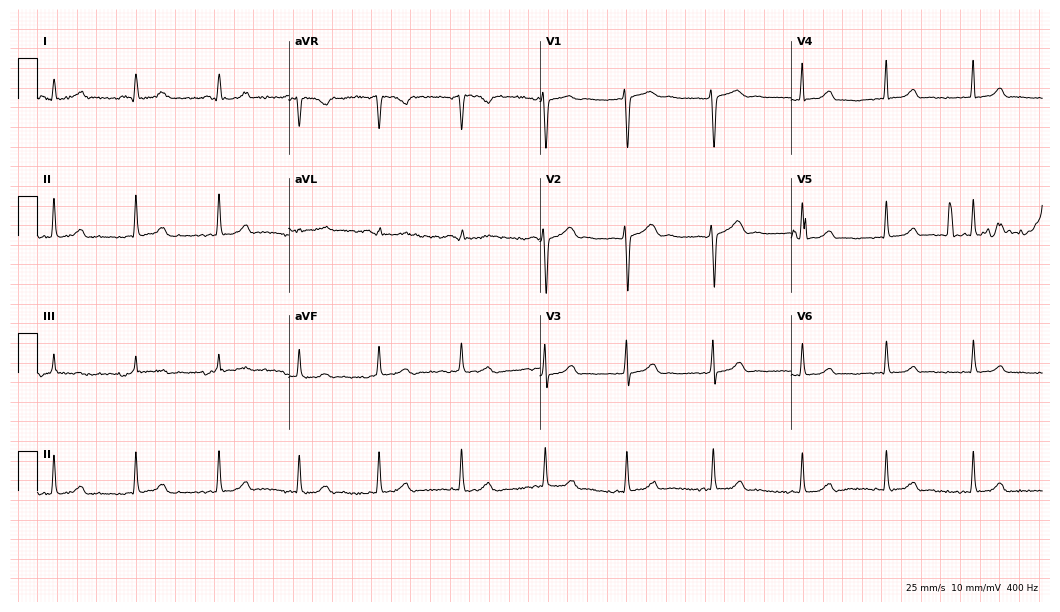
Resting 12-lead electrocardiogram. Patient: a female, 22 years old. Read as a normal ECG.